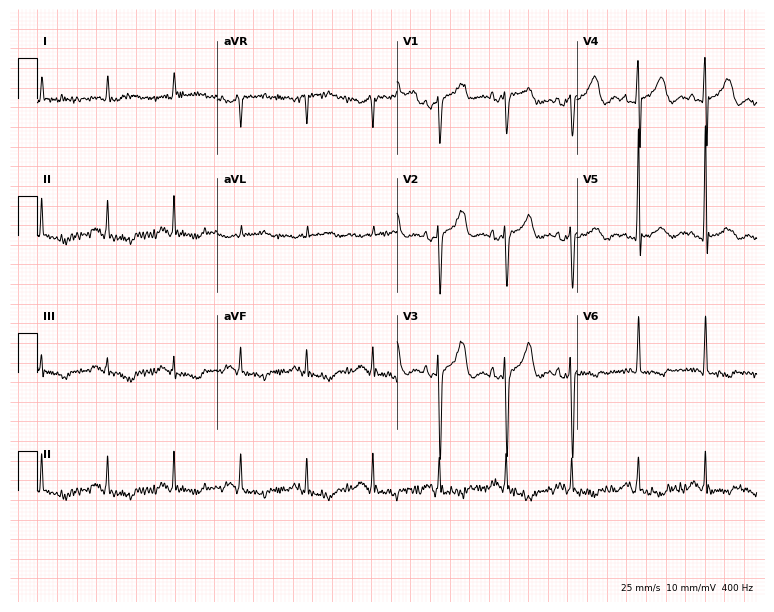
Standard 12-lead ECG recorded from a male patient, 71 years old (7.3-second recording at 400 Hz). None of these six findings is recorded: first-degree AV block, right bundle branch block, left bundle branch block, sinus bradycardia, atrial fibrillation, sinus tachycardia. Only these six findings were labelled.